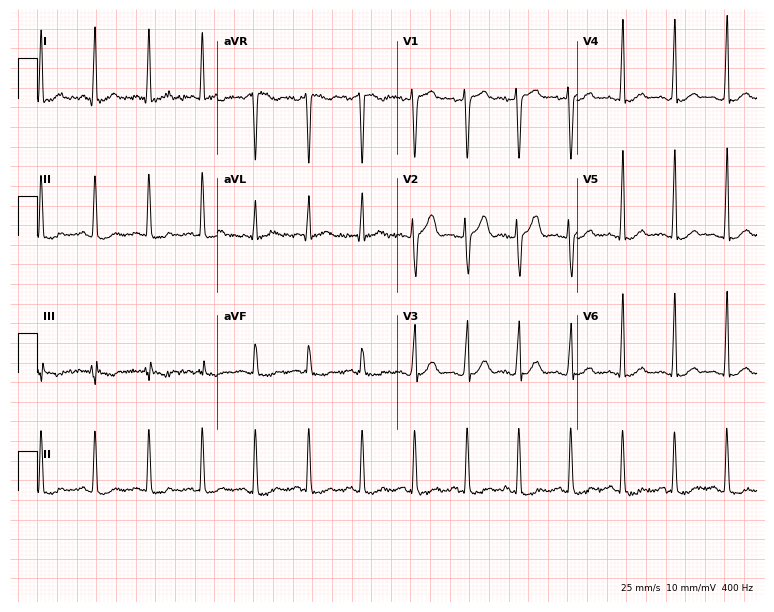
12-lead ECG from a 26-year-old male (7.3-second recording at 400 Hz). Shows sinus tachycardia (a sinus rate of 100 beats per minute or more).